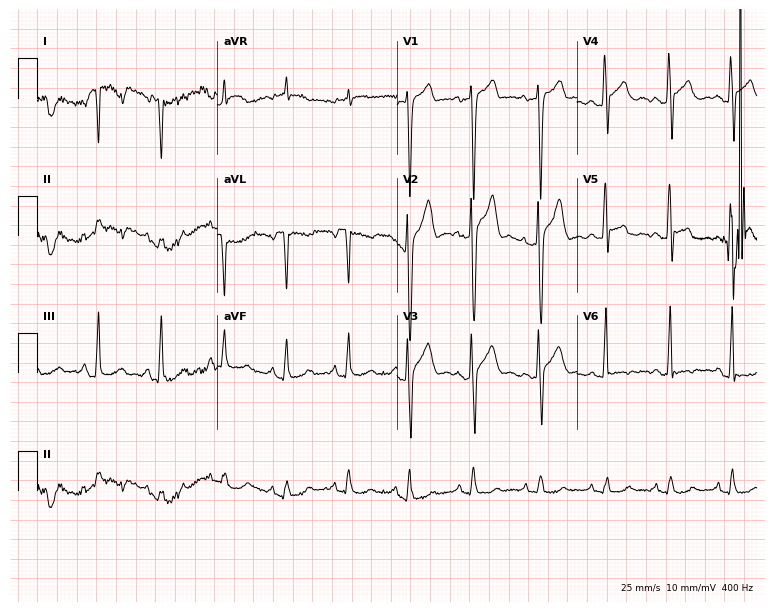
12-lead ECG (7.3-second recording at 400 Hz) from a 35-year-old male. Labelled as a normal ECG.